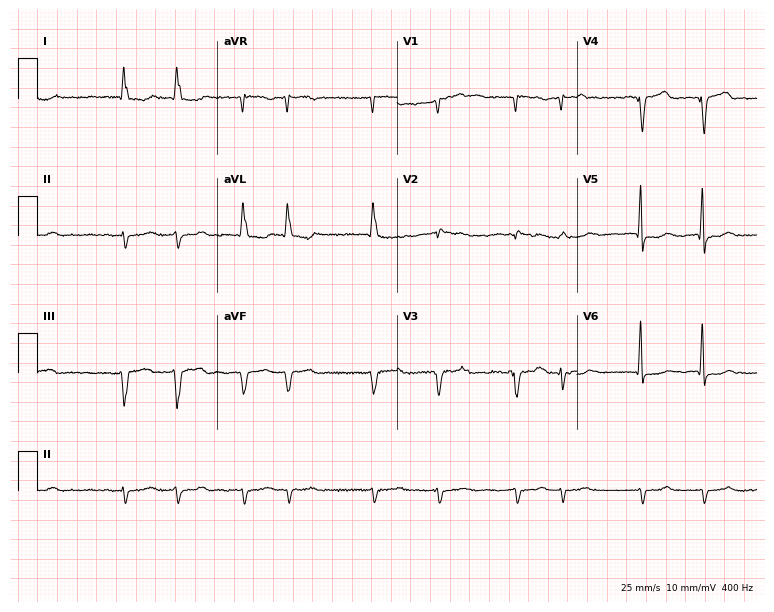
Resting 12-lead electrocardiogram. Patient: a male, 79 years old. The tracing shows atrial fibrillation.